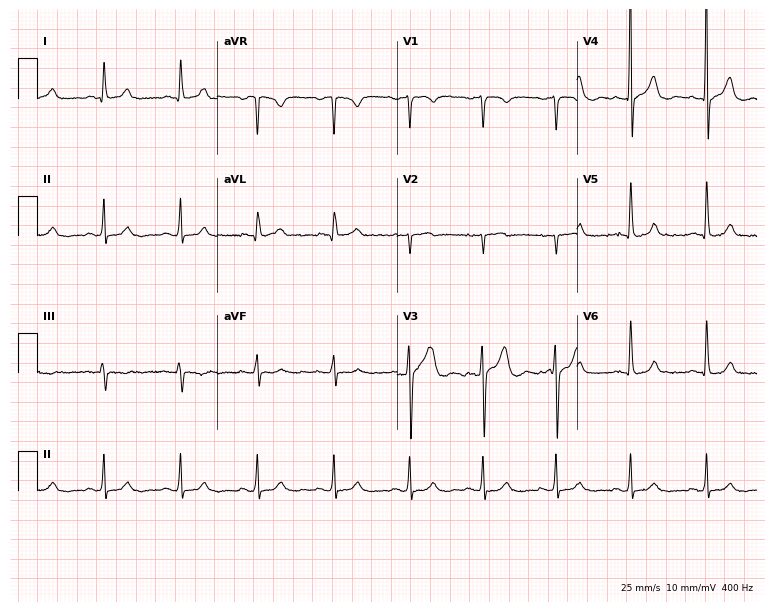
ECG (7.3-second recording at 400 Hz) — a man, 38 years old. Screened for six findings — first-degree AV block, right bundle branch block, left bundle branch block, sinus bradycardia, atrial fibrillation, sinus tachycardia — none is recorded. Findings outside these six are not listed.